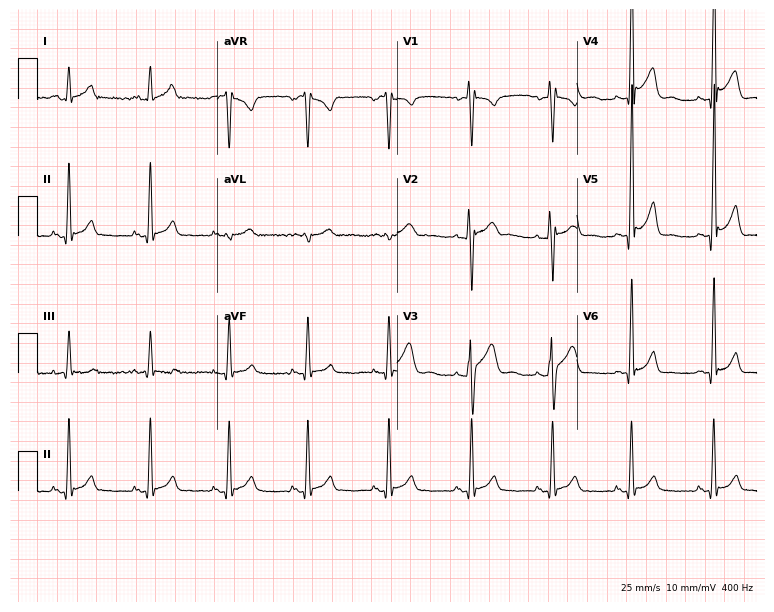
Resting 12-lead electrocardiogram. Patient: an 18-year-old male. Read as a normal ECG.